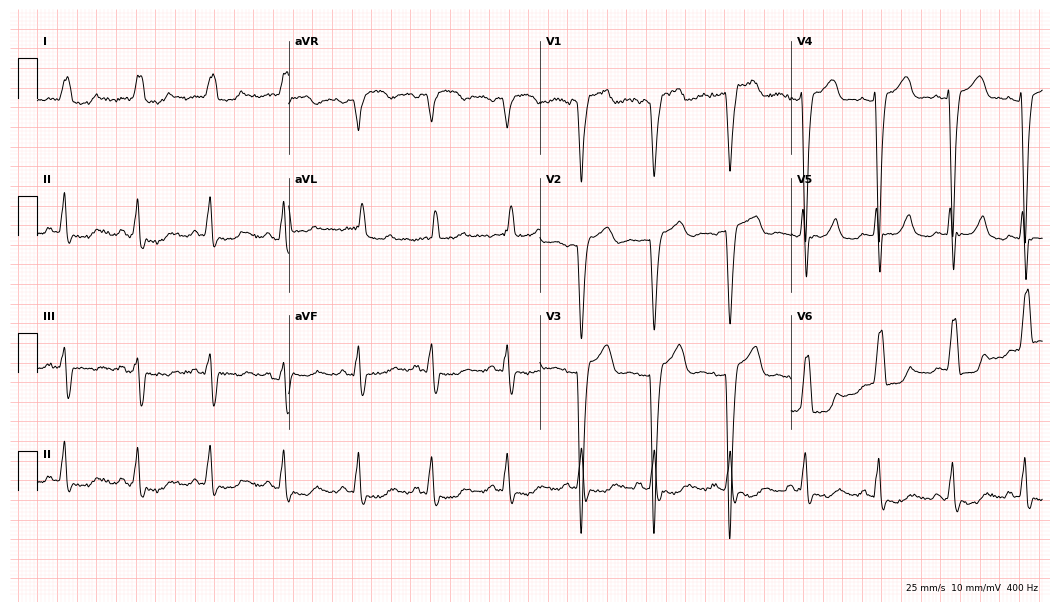
Standard 12-lead ECG recorded from a 61-year-old female (10.2-second recording at 400 Hz). The tracing shows left bundle branch block.